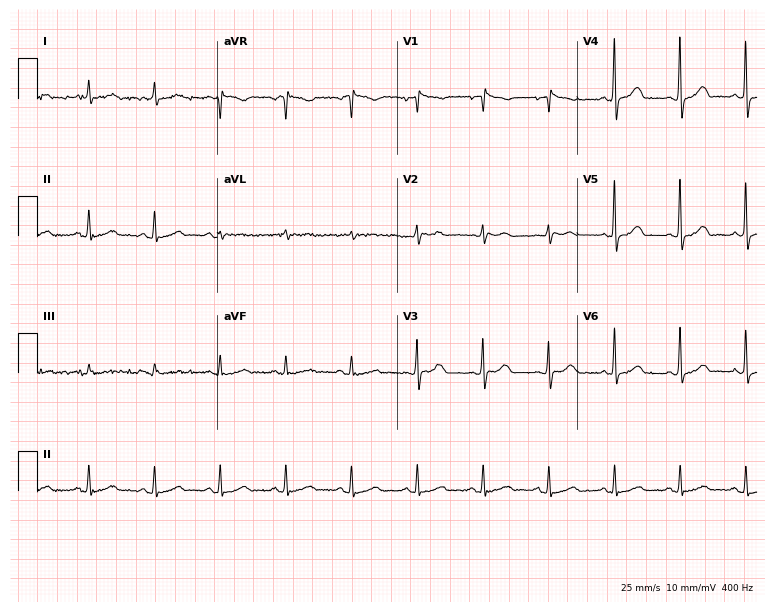
12-lead ECG (7.3-second recording at 400 Hz) from a 79-year-old male. Screened for six findings — first-degree AV block, right bundle branch block (RBBB), left bundle branch block (LBBB), sinus bradycardia, atrial fibrillation (AF), sinus tachycardia — none is recorded.